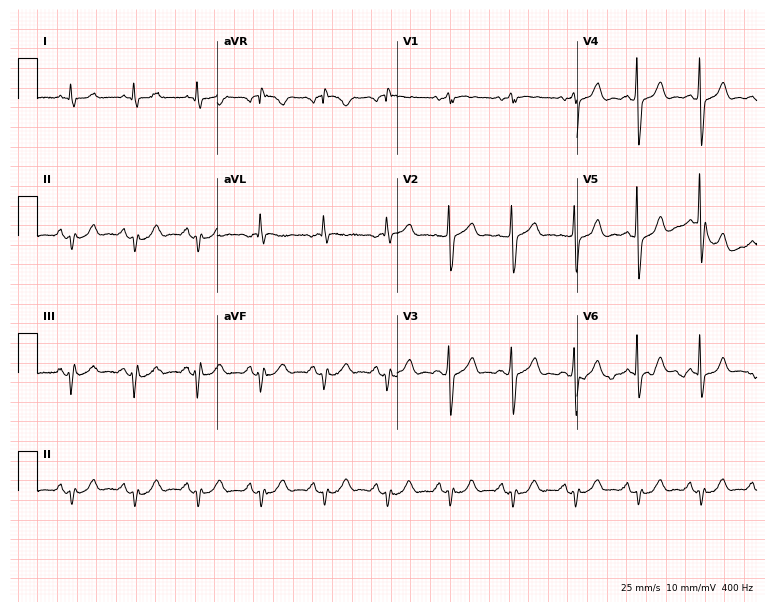
Standard 12-lead ECG recorded from an 82-year-old male patient. None of these six findings is recorded: first-degree AV block, right bundle branch block, left bundle branch block, sinus bradycardia, atrial fibrillation, sinus tachycardia. Other findings, if any, are not listed.